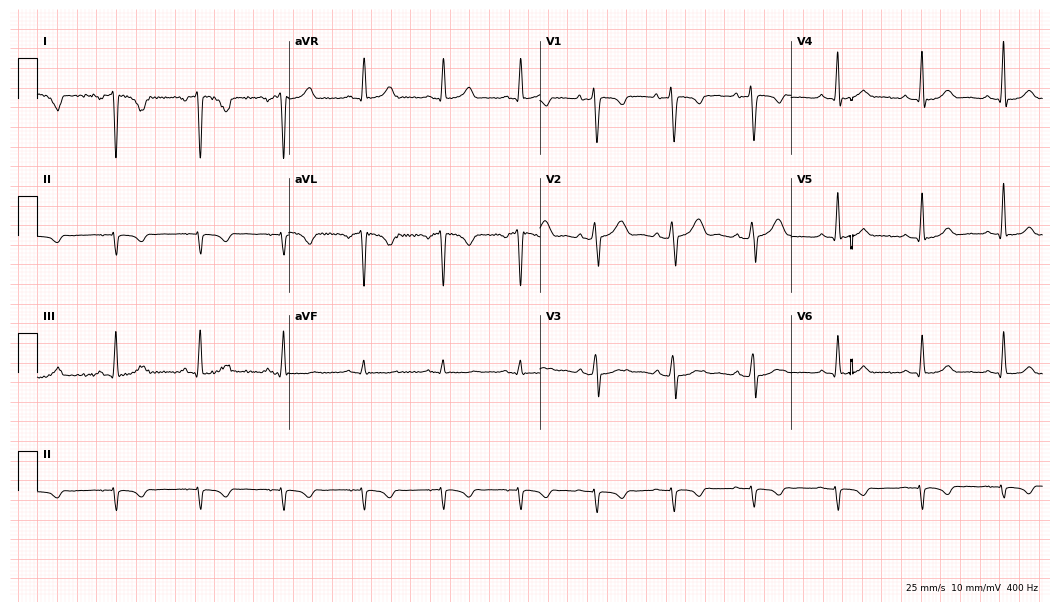
12-lead ECG from a 23-year-old woman. Screened for six findings — first-degree AV block, right bundle branch block, left bundle branch block, sinus bradycardia, atrial fibrillation, sinus tachycardia — none is recorded. Other findings, if any, are not listed.